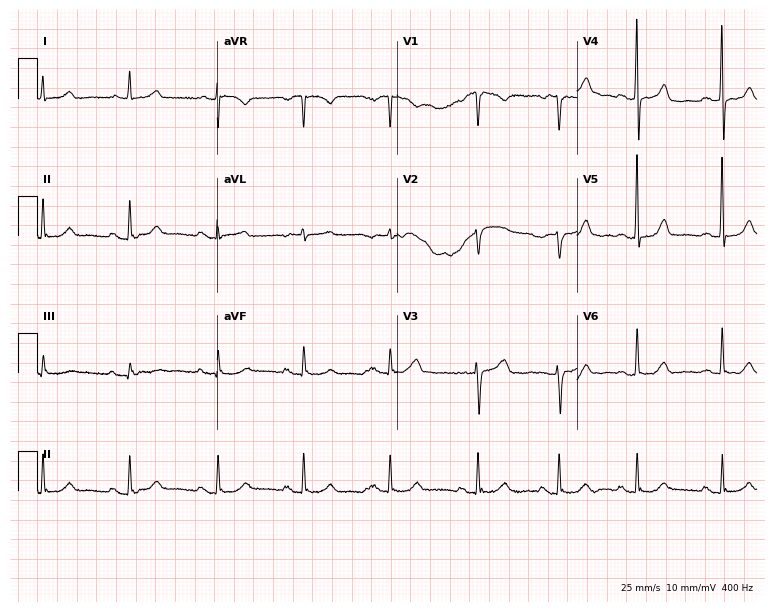
12-lead ECG from a 57-year-old woman (7.3-second recording at 400 Hz). Recorded interpretation: within normal limits.